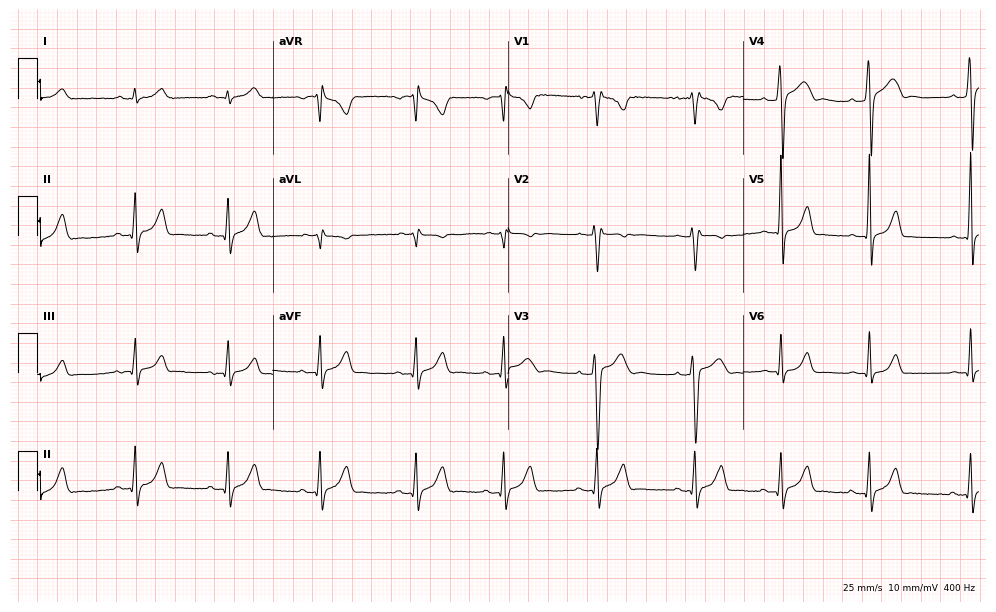
Electrocardiogram, an 18-year-old man. Overall reading on record: normal ECG.